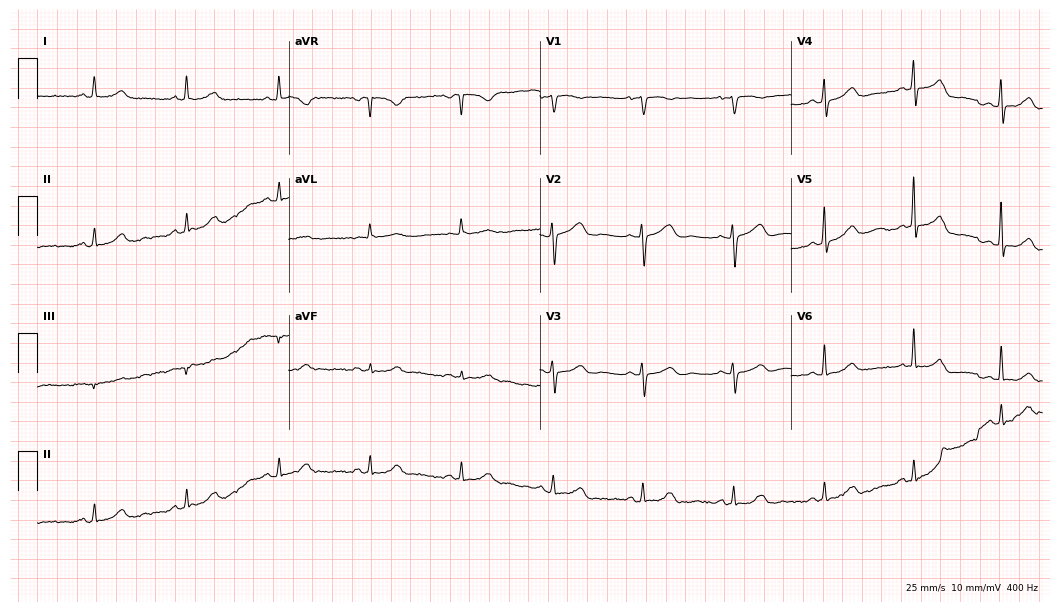
12-lead ECG from a female, 77 years old (10.2-second recording at 400 Hz). Recorded interpretation: within normal limits.